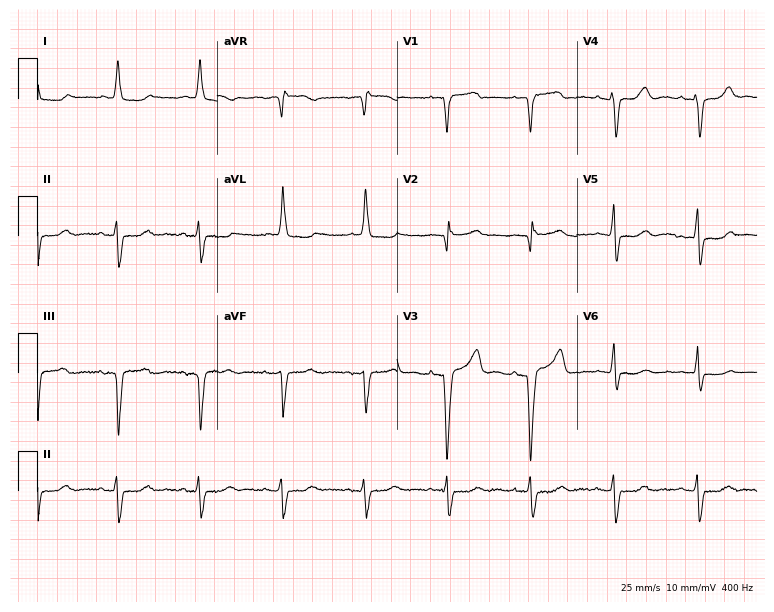
12-lead ECG (7.3-second recording at 400 Hz) from a female patient, 77 years old. Screened for six findings — first-degree AV block, right bundle branch block, left bundle branch block, sinus bradycardia, atrial fibrillation, sinus tachycardia — none is recorded.